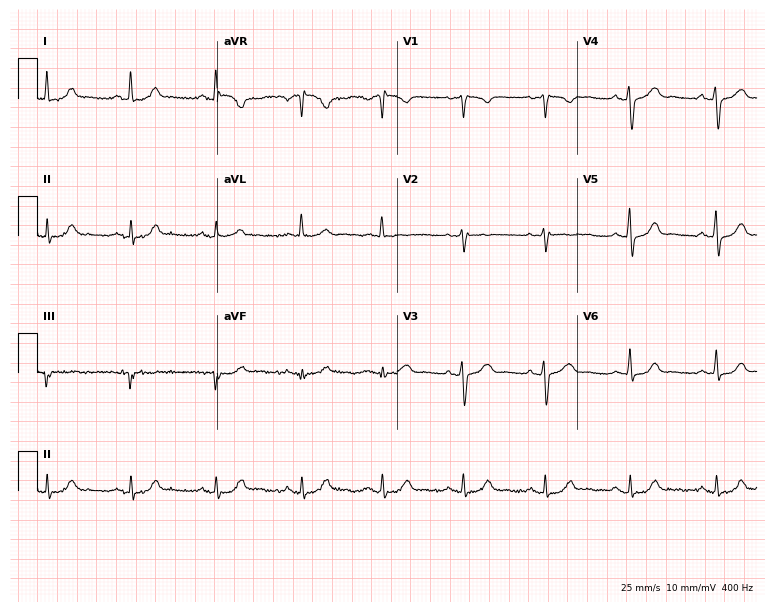
Electrocardiogram (7.3-second recording at 400 Hz), a woman, 47 years old. Overall reading on record: normal ECG.